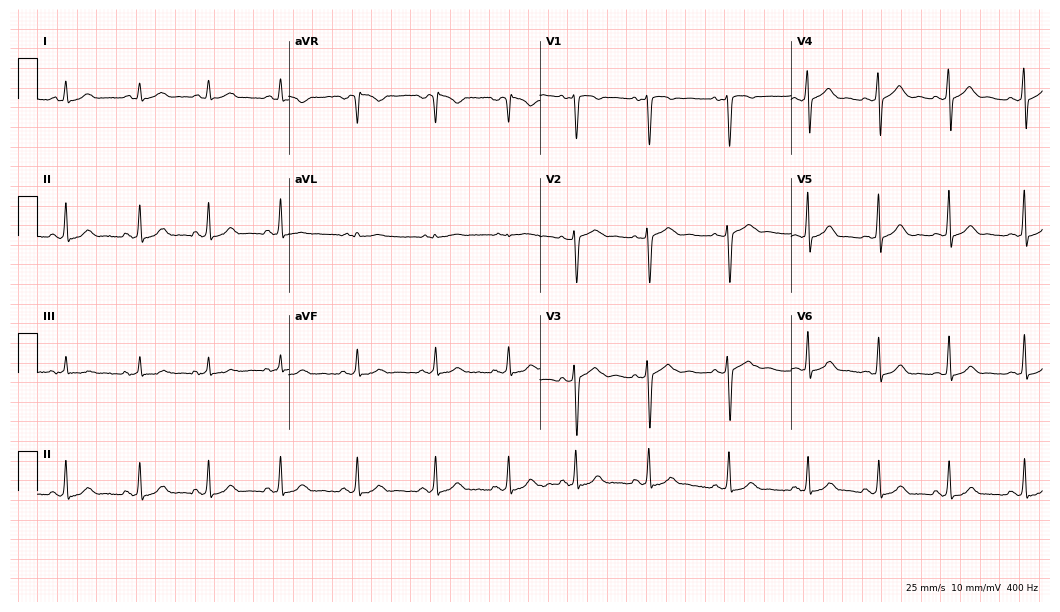
Standard 12-lead ECG recorded from a woman, 34 years old. Read as a normal ECG.